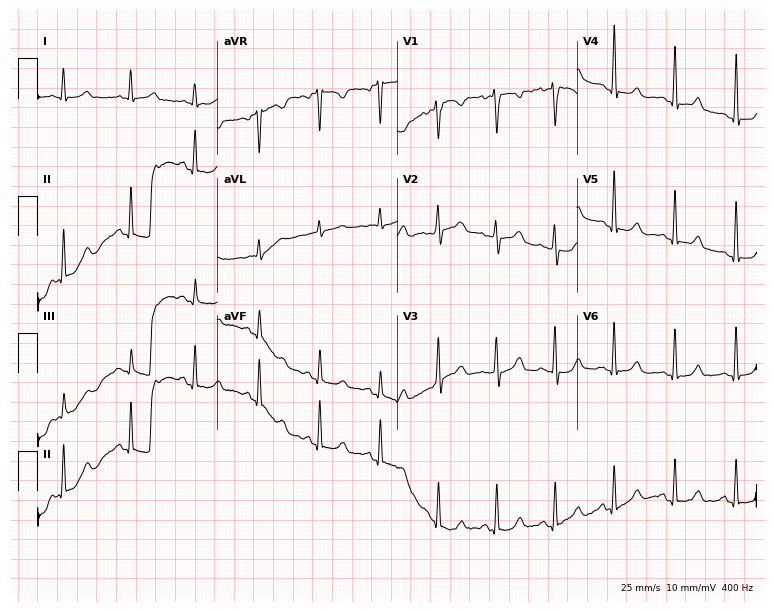
12-lead ECG from a 38-year-old female patient (7.3-second recording at 400 Hz). No first-degree AV block, right bundle branch block (RBBB), left bundle branch block (LBBB), sinus bradycardia, atrial fibrillation (AF) or sinus tachycardia recorded for this tracing. Findings outside these six are not listed.